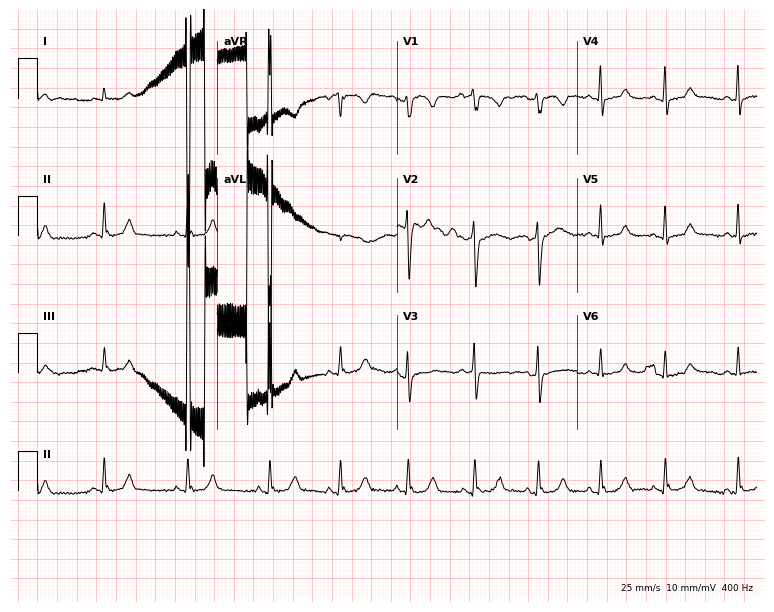
ECG — a female patient, 23 years old. Labelled as a normal ECG.